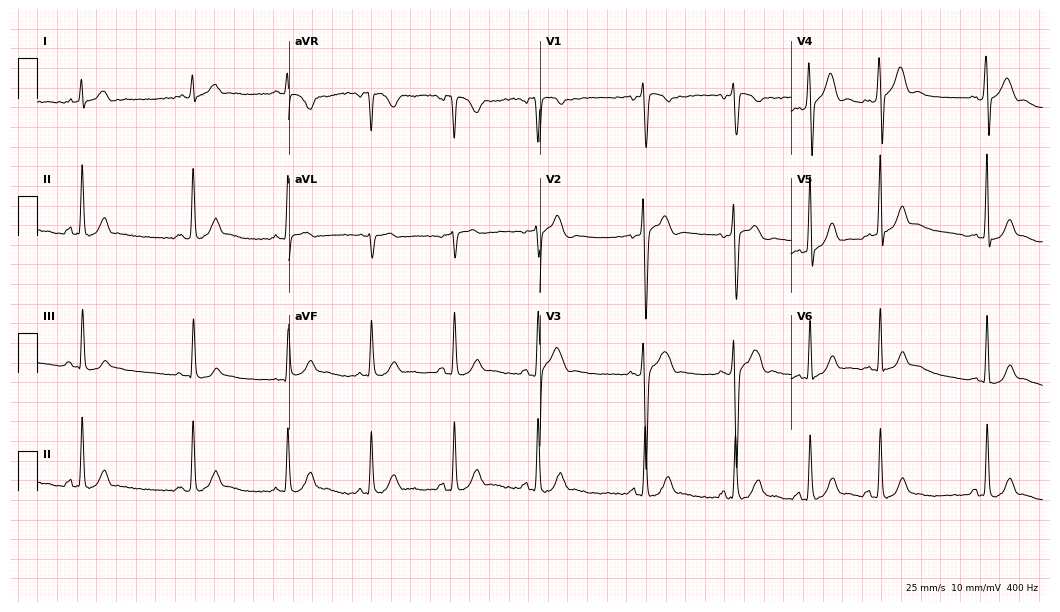
12-lead ECG from a male patient, 17 years old (10.2-second recording at 400 Hz). Recorded interpretation: within normal limits.